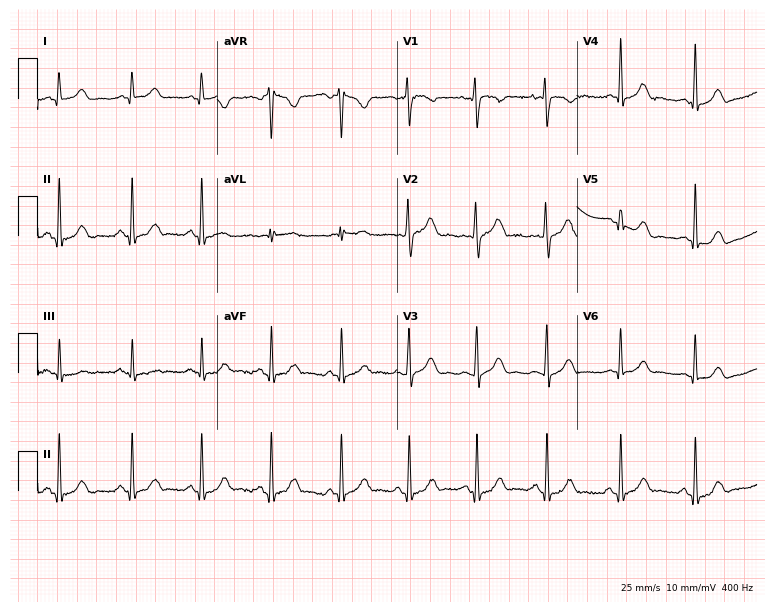
ECG — a female, 29 years old. Labelled as a normal ECG.